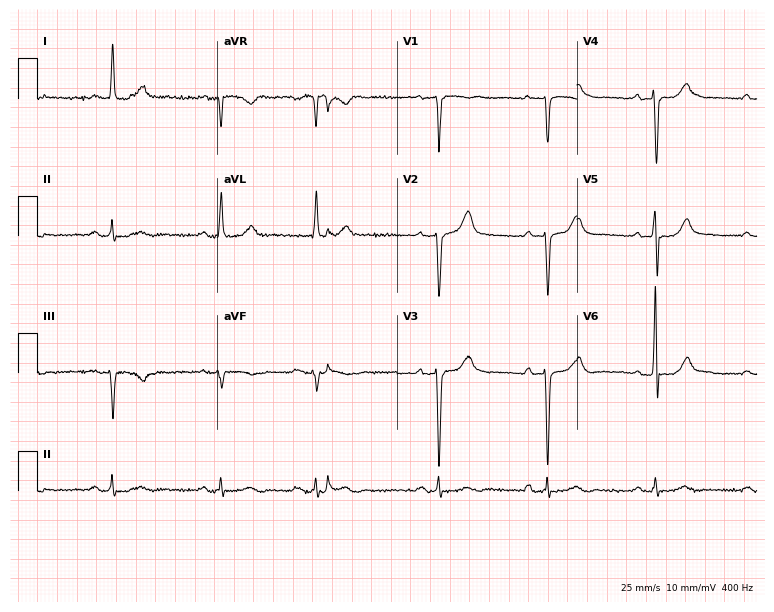
Resting 12-lead electrocardiogram. Patient: a male, 62 years old. None of these six findings is recorded: first-degree AV block, right bundle branch block, left bundle branch block, sinus bradycardia, atrial fibrillation, sinus tachycardia. Other findings, if any, are not listed.